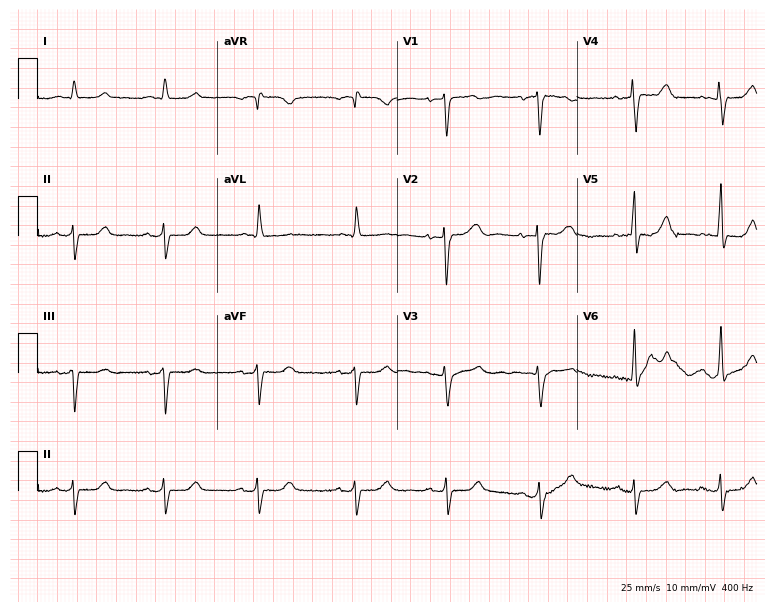
ECG (7.3-second recording at 400 Hz) — an 83-year-old female patient. Screened for six findings — first-degree AV block, right bundle branch block (RBBB), left bundle branch block (LBBB), sinus bradycardia, atrial fibrillation (AF), sinus tachycardia — none is recorded. Other findings, if any, are not listed.